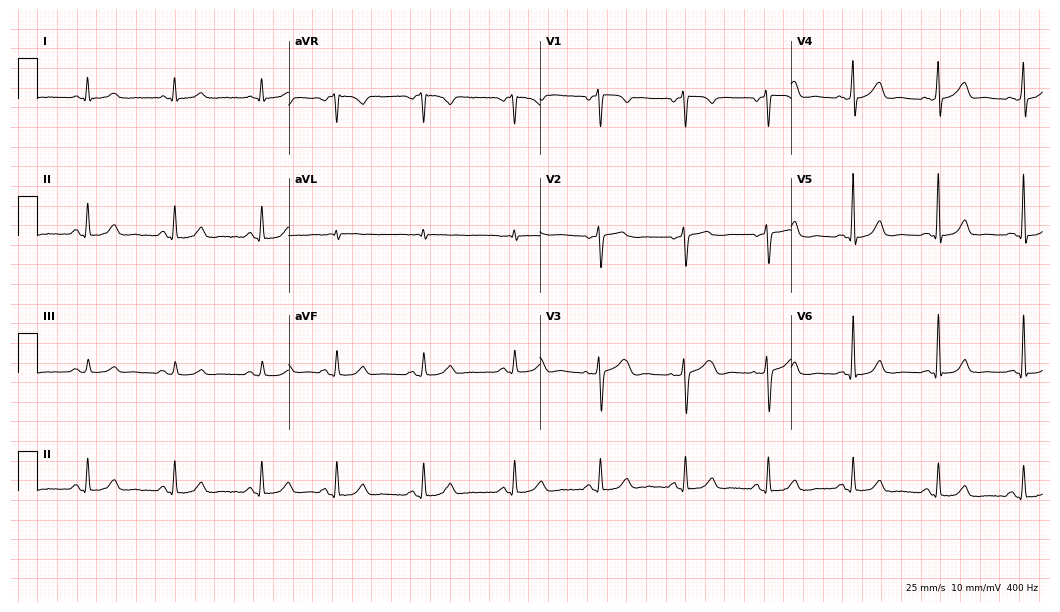
Resting 12-lead electrocardiogram. Patient: a 67-year-old man. Read as a normal ECG.